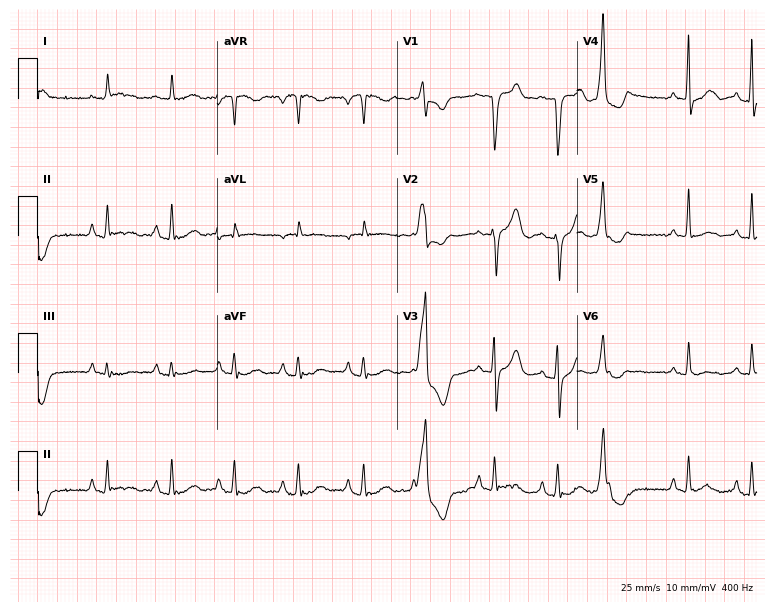
Resting 12-lead electrocardiogram. Patient: a 71-year-old male. Read as a normal ECG.